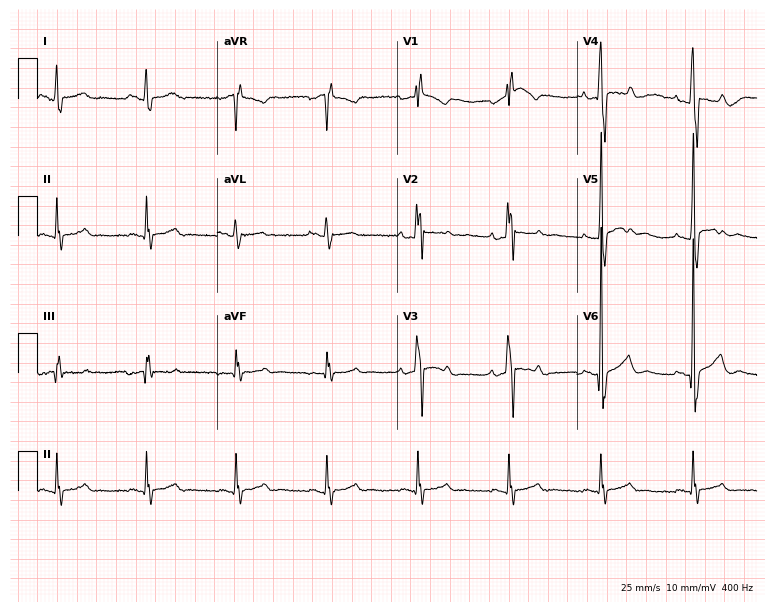
Electrocardiogram, a male, 49 years old. Of the six screened findings (first-degree AV block, right bundle branch block (RBBB), left bundle branch block (LBBB), sinus bradycardia, atrial fibrillation (AF), sinus tachycardia), none is recorded. Only these six findings were labelled.